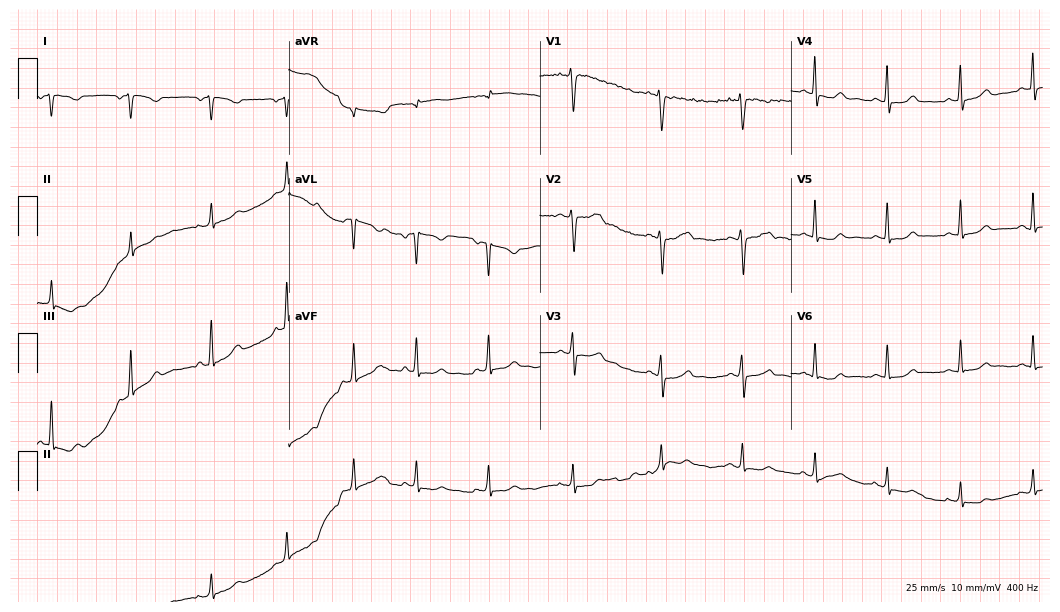
ECG (10.2-second recording at 400 Hz) — a female, 25 years old. Screened for six findings — first-degree AV block, right bundle branch block, left bundle branch block, sinus bradycardia, atrial fibrillation, sinus tachycardia — none is recorded. Other findings, if any, are not listed.